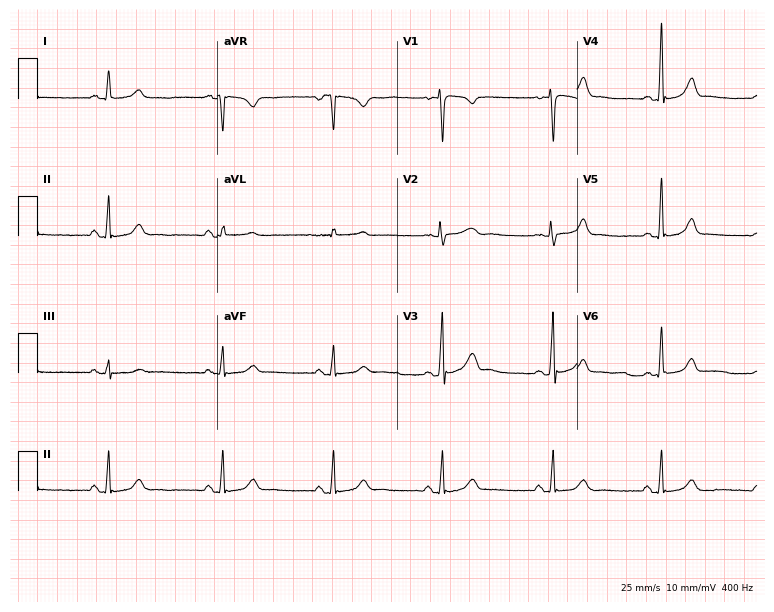
Electrocardiogram, an 18-year-old female. Of the six screened findings (first-degree AV block, right bundle branch block, left bundle branch block, sinus bradycardia, atrial fibrillation, sinus tachycardia), none is recorded. Findings outside these six are not listed.